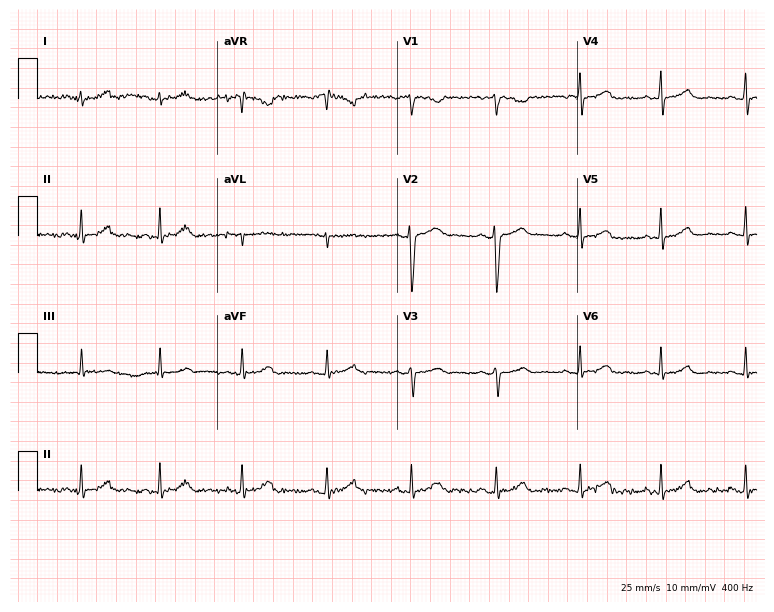
Standard 12-lead ECG recorded from a female, 40 years old. Read as a normal ECG.